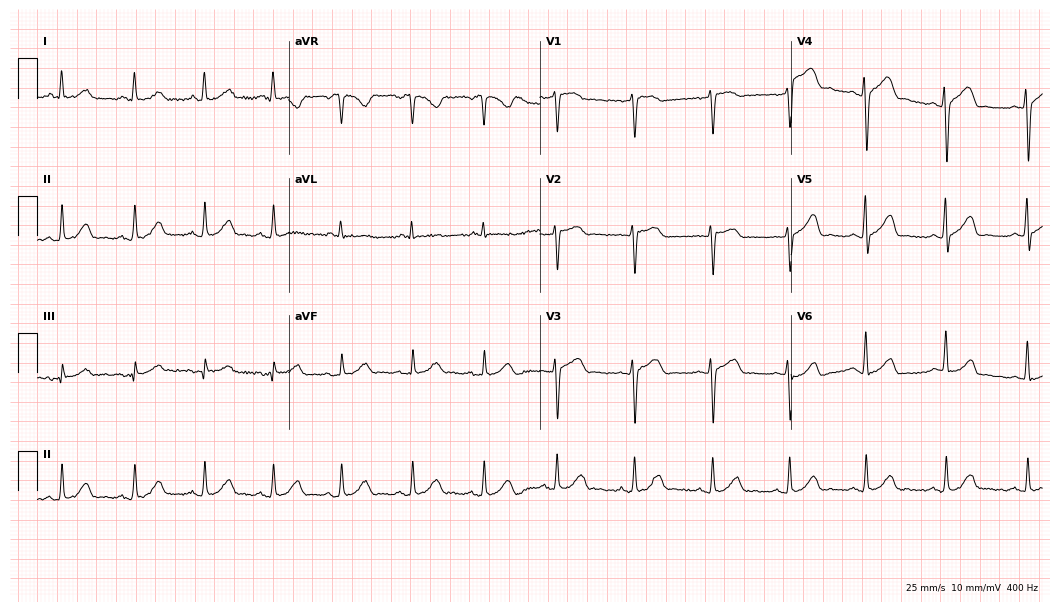
Standard 12-lead ECG recorded from a 52-year-old female. Read as a normal ECG.